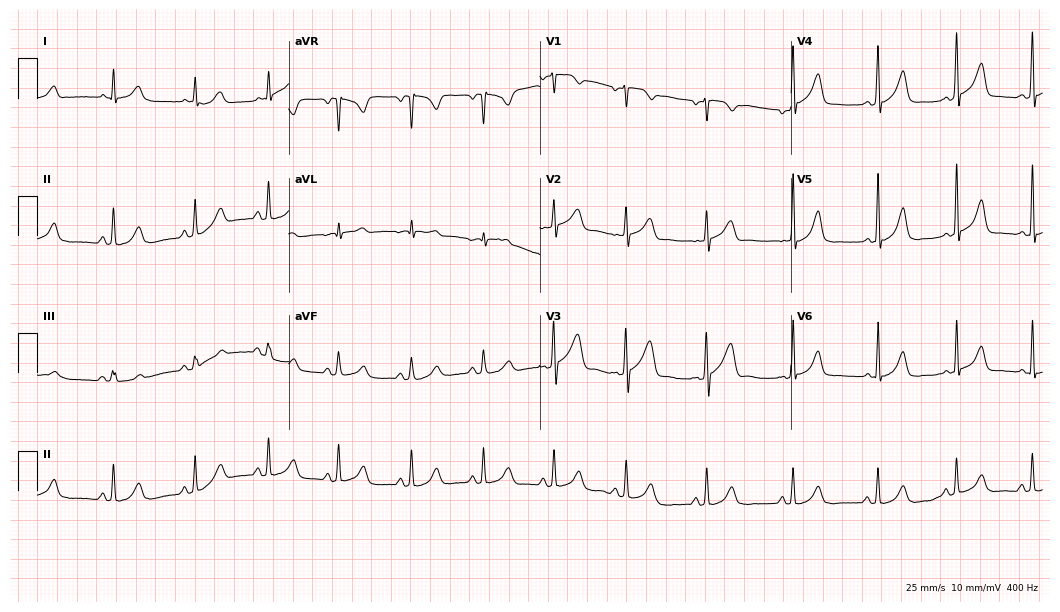
Electrocardiogram (10.2-second recording at 400 Hz), a 35-year-old female patient. Of the six screened findings (first-degree AV block, right bundle branch block (RBBB), left bundle branch block (LBBB), sinus bradycardia, atrial fibrillation (AF), sinus tachycardia), none is recorded.